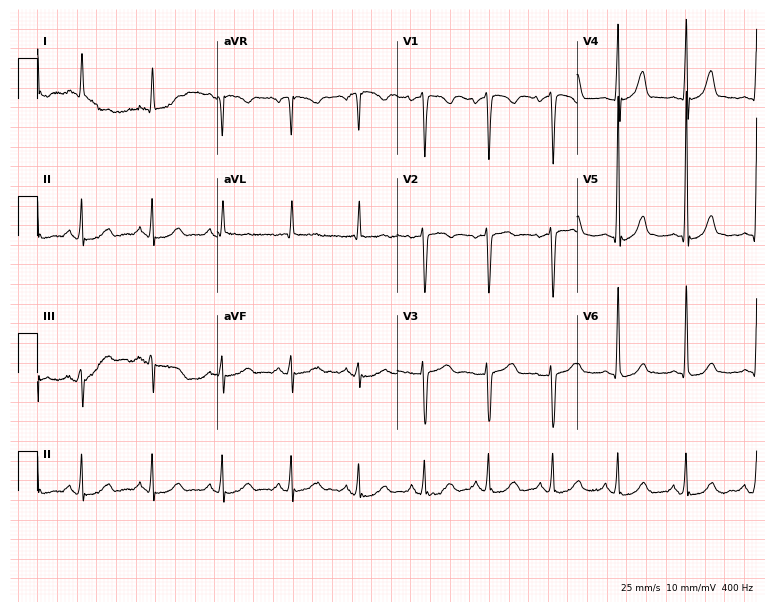
Standard 12-lead ECG recorded from a 65-year-old woman. Read as a normal ECG.